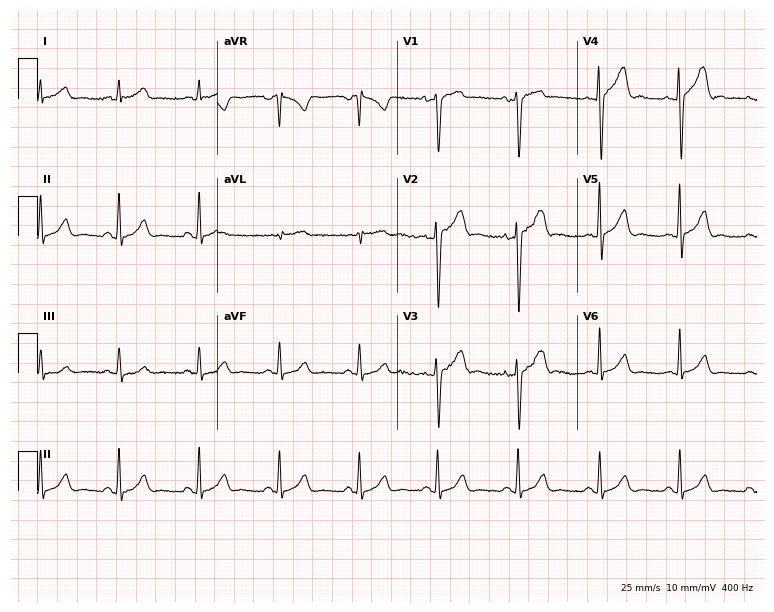
Standard 12-lead ECG recorded from a 39-year-old man (7.3-second recording at 400 Hz). None of these six findings is recorded: first-degree AV block, right bundle branch block, left bundle branch block, sinus bradycardia, atrial fibrillation, sinus tachycardia. Findings outside these six are not listed.